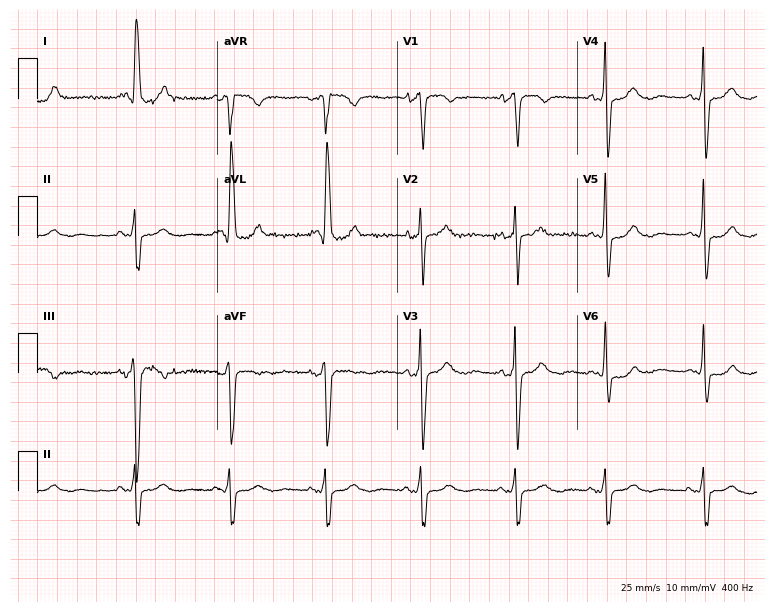
12-lead ECG (7.3-second recording at 400 Hz) from a woman, 82 years old. Findings include left bundle branch block.